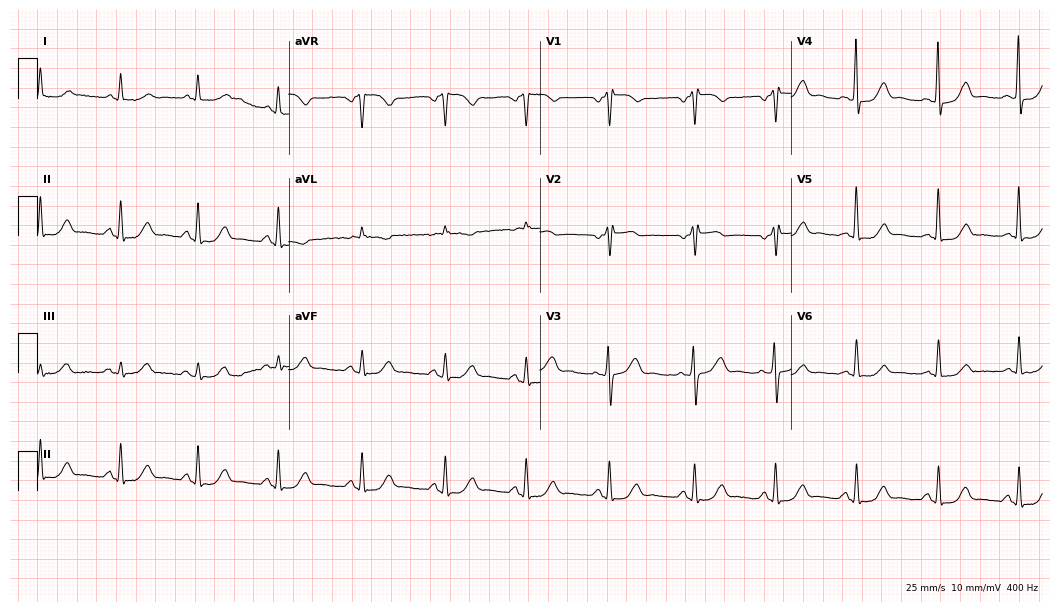
Standard 12-lead ECG recorded from a female, 68 years old (10.2-second recording at 400 Hz). None of these six findings is recorded: first-degree AV block, right bundle branch block (RBBB), left bundle branch block (LBBB), sinus bradycardia, atrial fibrillation (AF), sinus tachycardia.